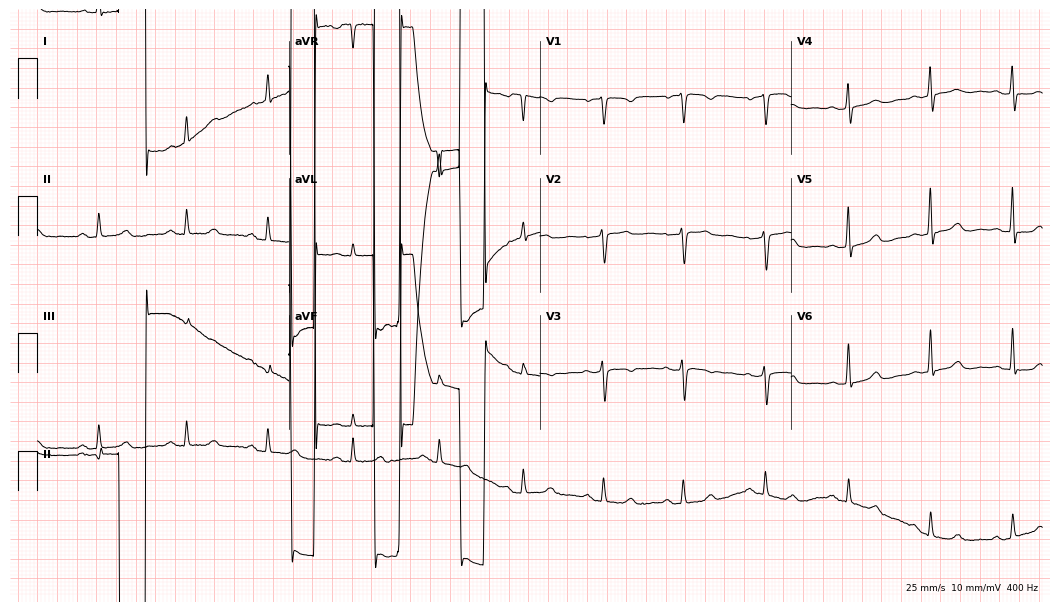
Standard 12-lead ECG recorded from a female, 50 years old (10.2-second recording at 400 Hz). None of these six findings is recorded: first-degree AV block, right bundle branch block, left bundle branch block, sinus bradycardia, atrial fibrillation, sinus tachycardia.